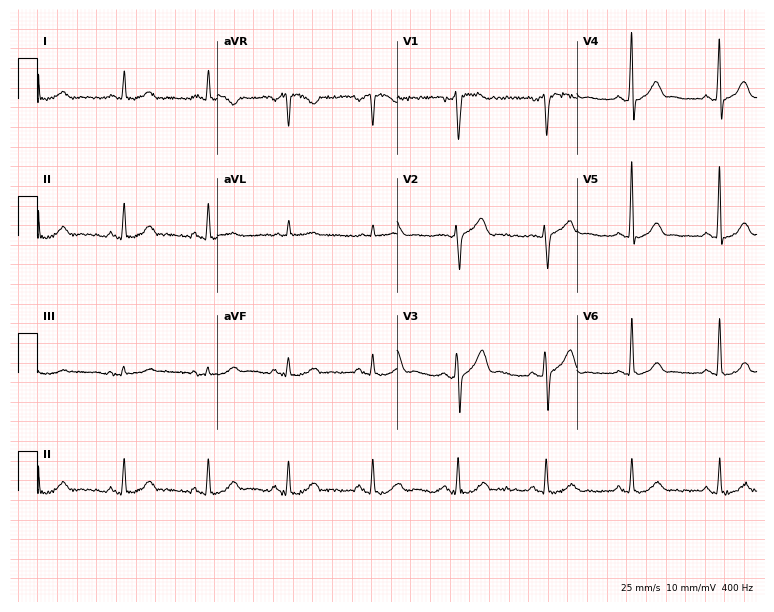
12-lead ECG from a 60-year-old man (7.3-second recording at 400 Hz). Recorded interpretation: within normal limits.